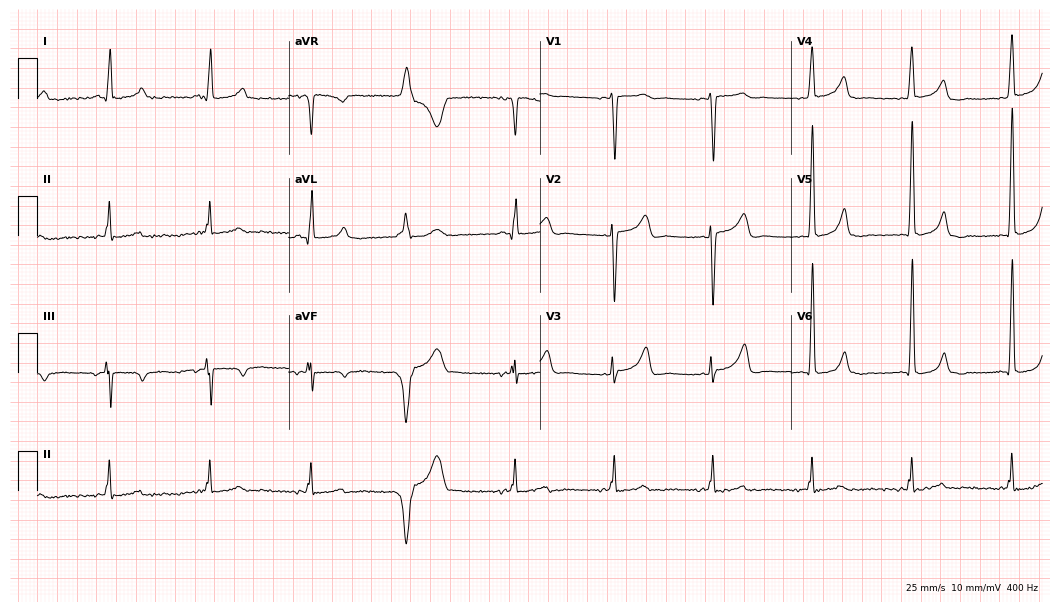
ECG — a 43-year-old female patient. Labelled as a normal ECG.